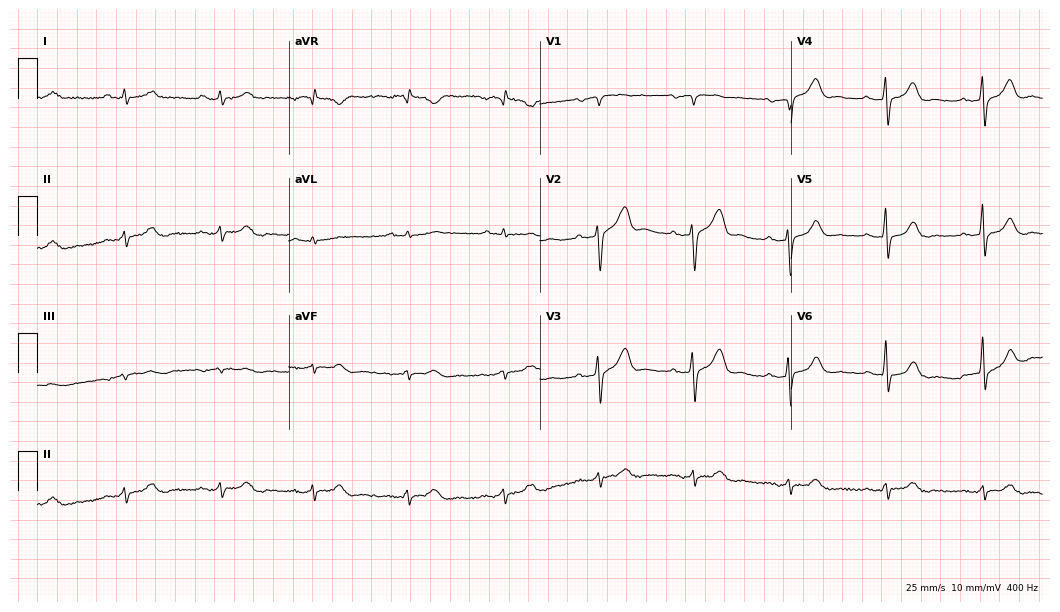
12-lead ECG (10.2-second recording at 400 Hz) from a 68-year-old male patient. Labelled as a normal ECG.